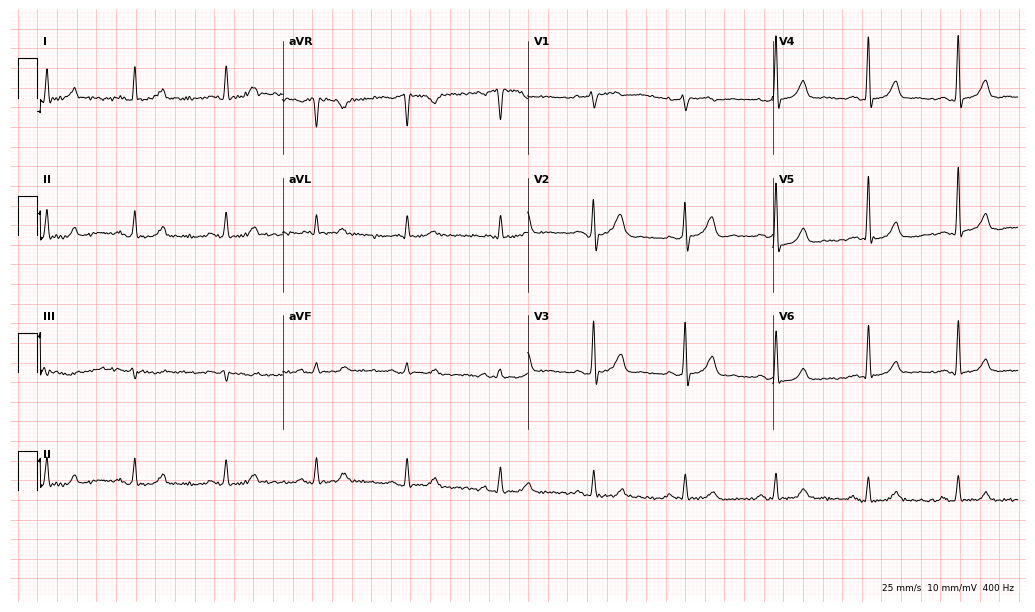
ECG (10-second recording at 400 Hz) — an 82-year-old male. Labelled as a normal ECG.